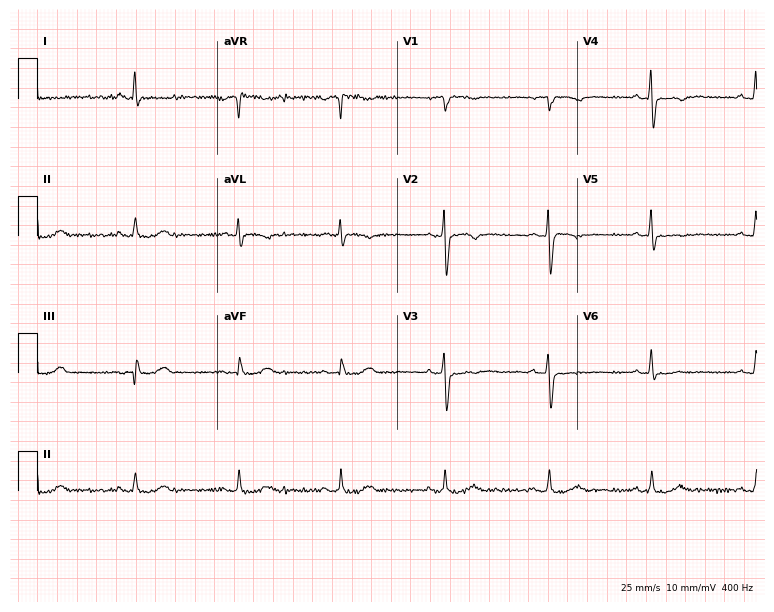
12-lead ECG (7.3-second recording at 400 Hz) from a male, 62 years old. Screened for six findings — first-degree AV block, right bundle branch block, left bundle branch block, sinus bradycardia, atrial fibrillation, sinus tachycardia — none is recorded. Only these six findings were labelled.